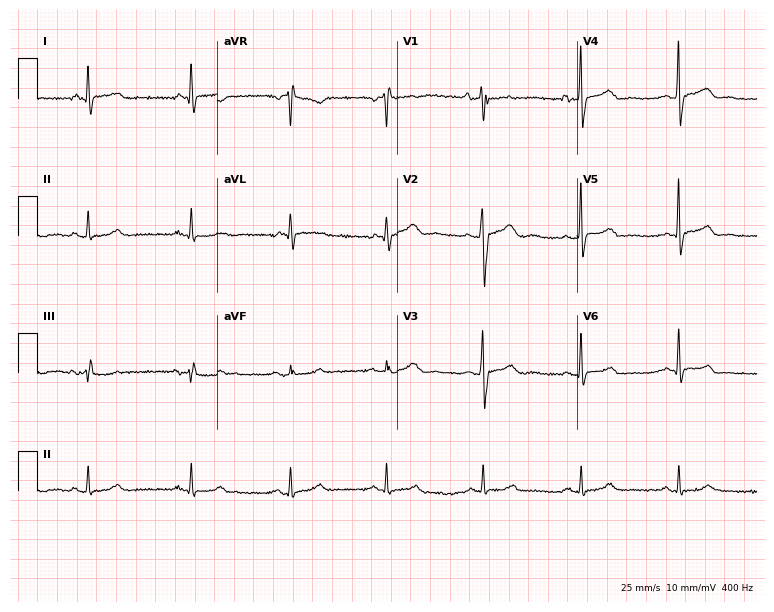
Electrocardiogram (7.3-second recording at 400 Hz), a male patient, 38 years old. Of the six screened findings (first-degree AV block, right bundle branch block (RBBB), left bundle branch block (LBBB), sinus bradycardia, atrial fibrillation (AF), sinus tachycardia), none is recorded.